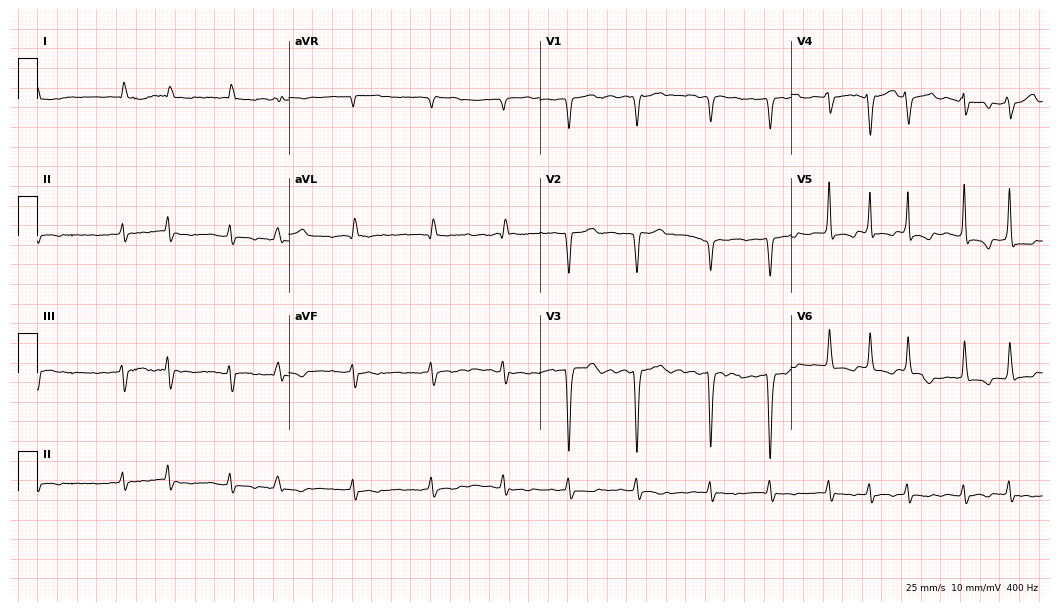
Resting 12-lead electrocardiogram. Patient: a woman, 73 years old. The tracing shows atrial fibrillation.